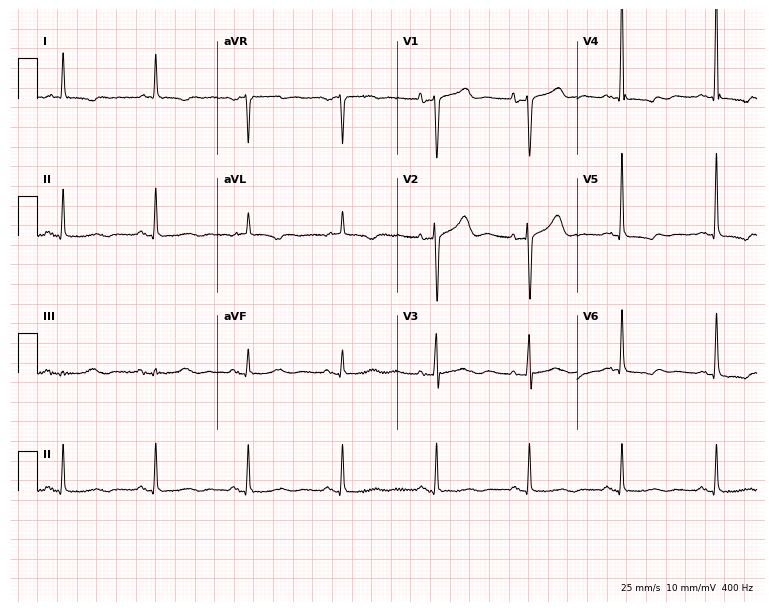
12-lead ECG from a female patient, 83 years old (7.3-second recording at 400 Hz). No first-degree AV block, right bundle branch block, left bundle branch block, sinus bradycardia, atrial fibrillation or sinus tachycardia recorded for this tracing. Other findings, if any, are not listed.